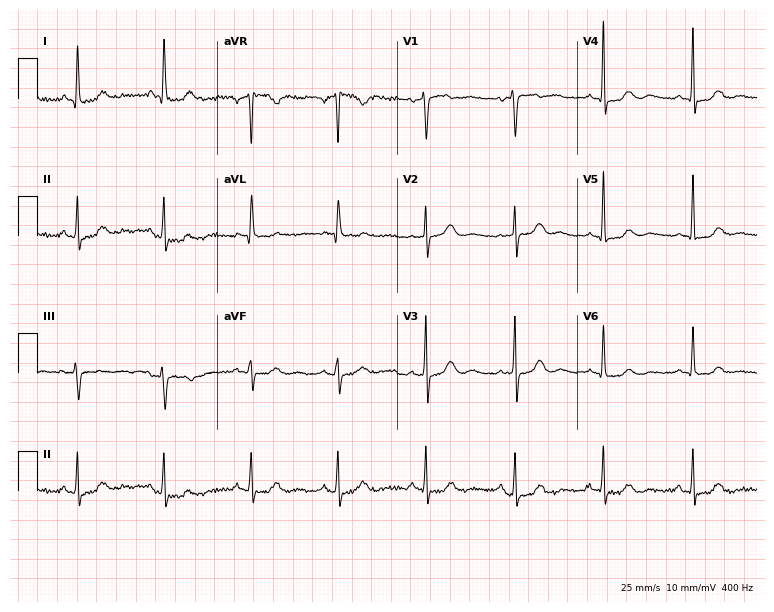
Standard 12-lead ECG recorded from a 67-year-old female. None of these six findings is recorded: first-degree AV block, right bundle branch block, left bundle branch block, sinus bradycardia, atrial fibrillation, sinus tachycardia. Other findings, if any, are not listed.